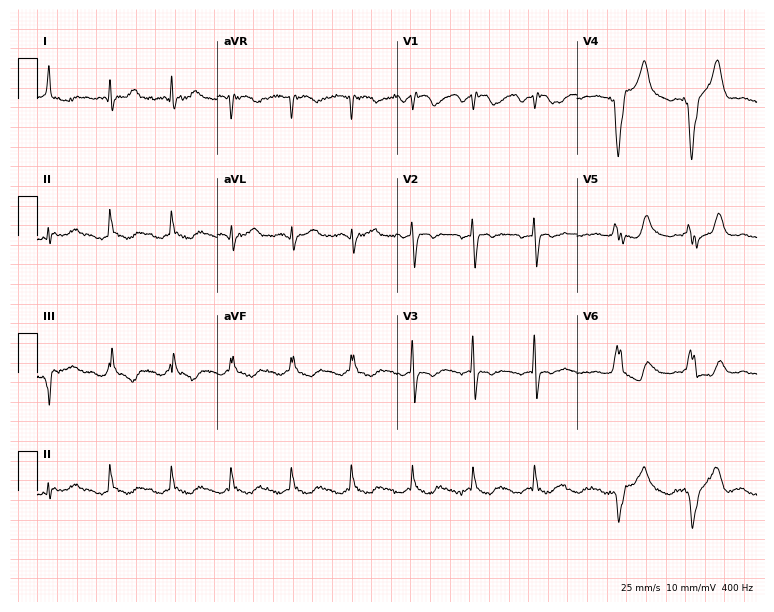
ECG (7.3-second recording at 400 Hz) — a woman, 77 years old. Screened for six findings — first-degree AV block, right bundle branch block, left bundle branch block, sinus bradycardia, atrial fibrillation, sinus tachycardia — none is recorded.